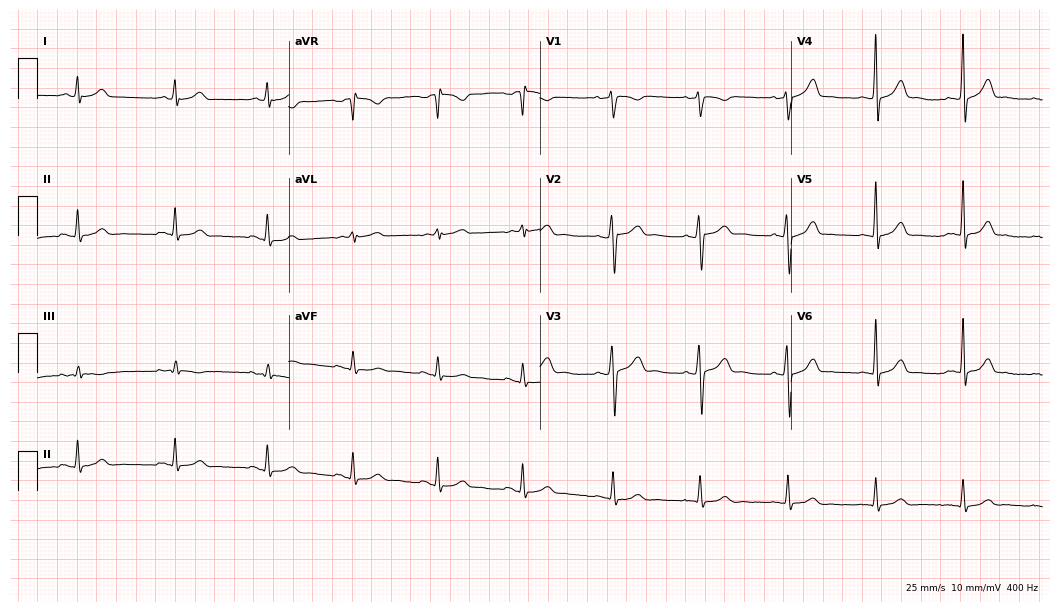
Electrocardiogram (10.2-second recording at 400 Hz), a man, 30 years old. Overall reading on record: normal ECG.